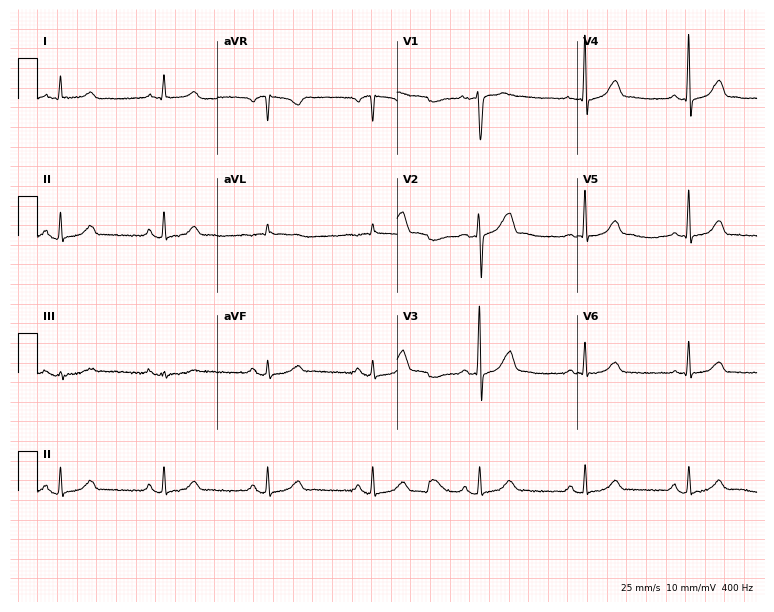
Electrocardiogram (7.3-second recording at 400 Hz), a 54-year-old man. Of the six screened findings (first-degree AV block, right bundle branch block (RBBB), left bundle branch block (LBBB), sinus bradycardia, atrial fibrillation (AF), sinus tachycardia), none is recorded.